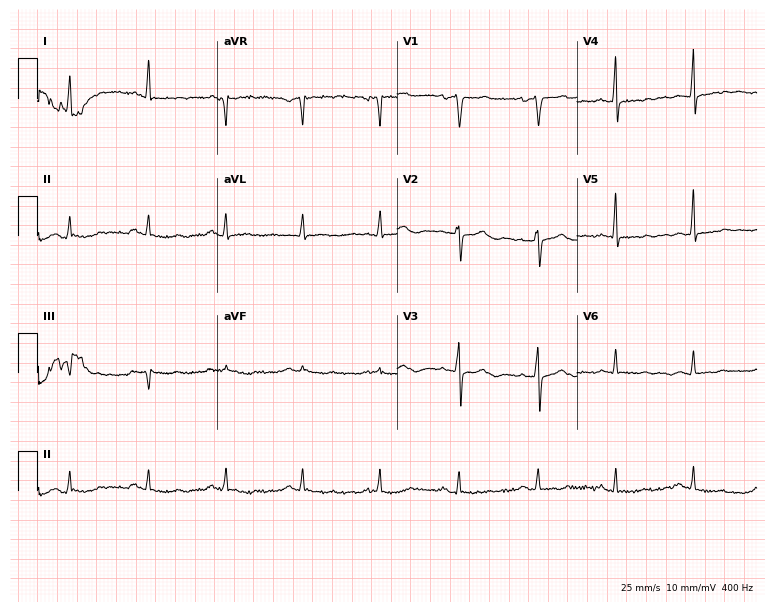
12-lead ECG from a female patient, 58 years old. Screened for six findings — first-degree AV block, right bundle branch block, left bundle branch block, sinus bradycardia, atrial fibrillation, sinus tachycardia — none is recorded.